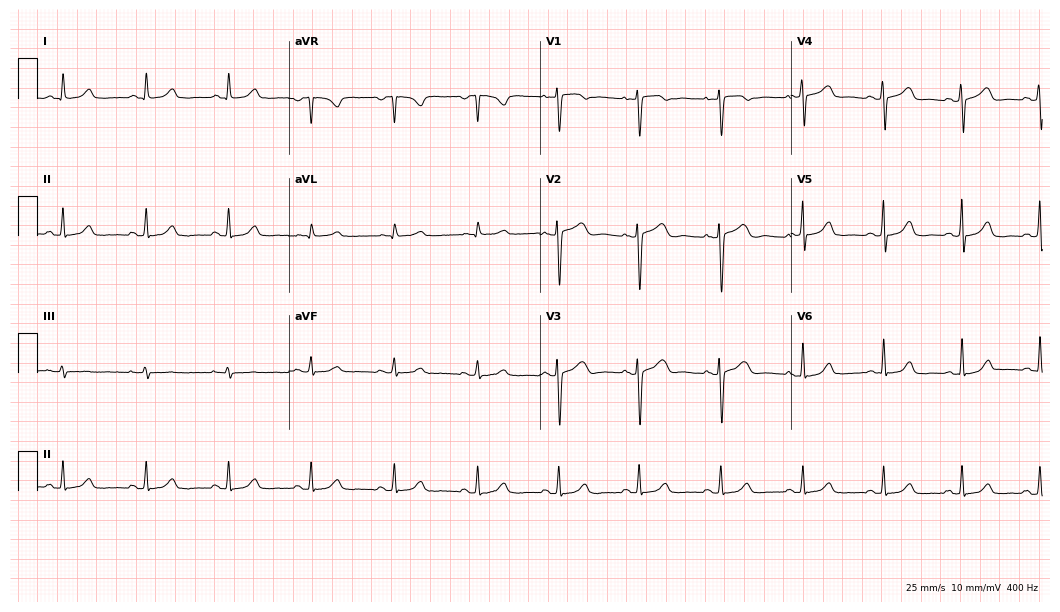
ECG (10.2-second recording at 400 Hz) — a female, 46 years old. Labelled as a normal ECG.